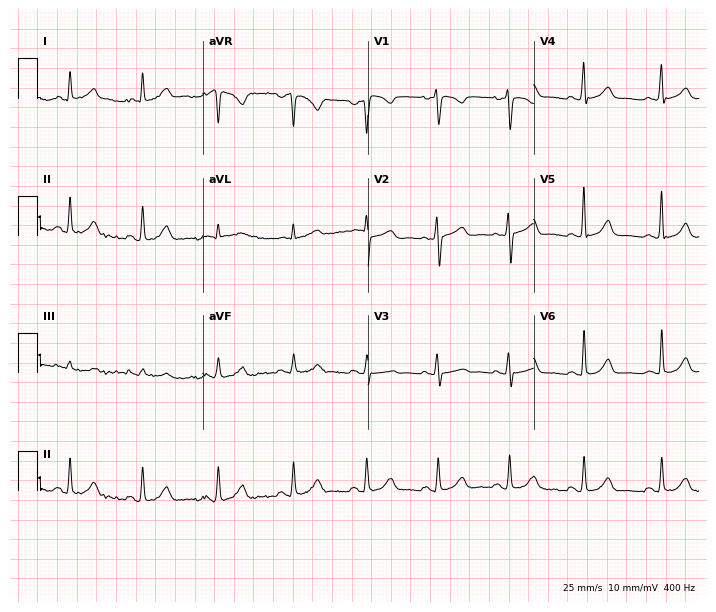
Standard 12-lead ECG recorded from a 29-year-old female patient. Read as a normal ECG.